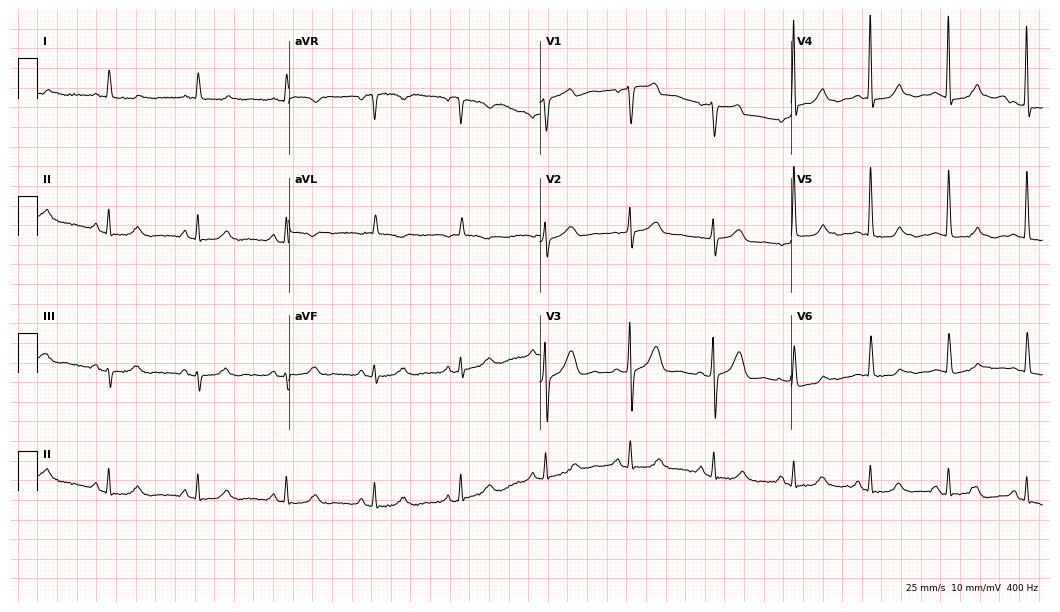
12-lead ECG from a 78-year-old male patient. Screened for six findings — first-degree AV block, right bundle branch block, left bundle branch block, sinus bradycardia, atrial fibrillation, sinus tachycardia — none is recorded.